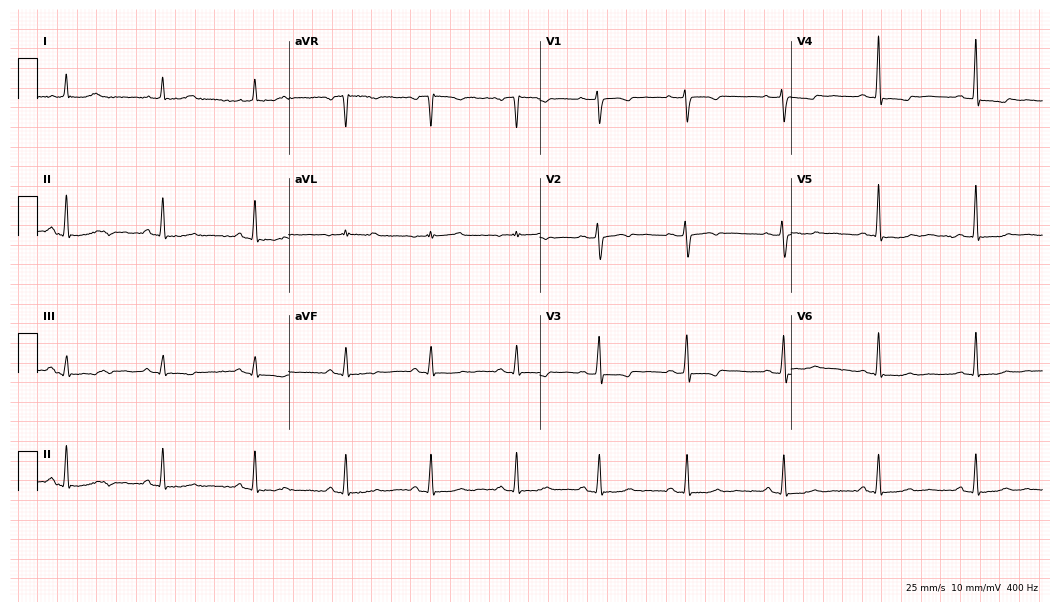
Standard 12-lead ECG recorded from a 54-year-old female patient. None of these six findings is recorded: first-degree AV block, right bundle branch block (RBBB), left bundle branch block (LBBB), sinus bradycardia, atrial fibrillation (AF), sinus tachycardia.